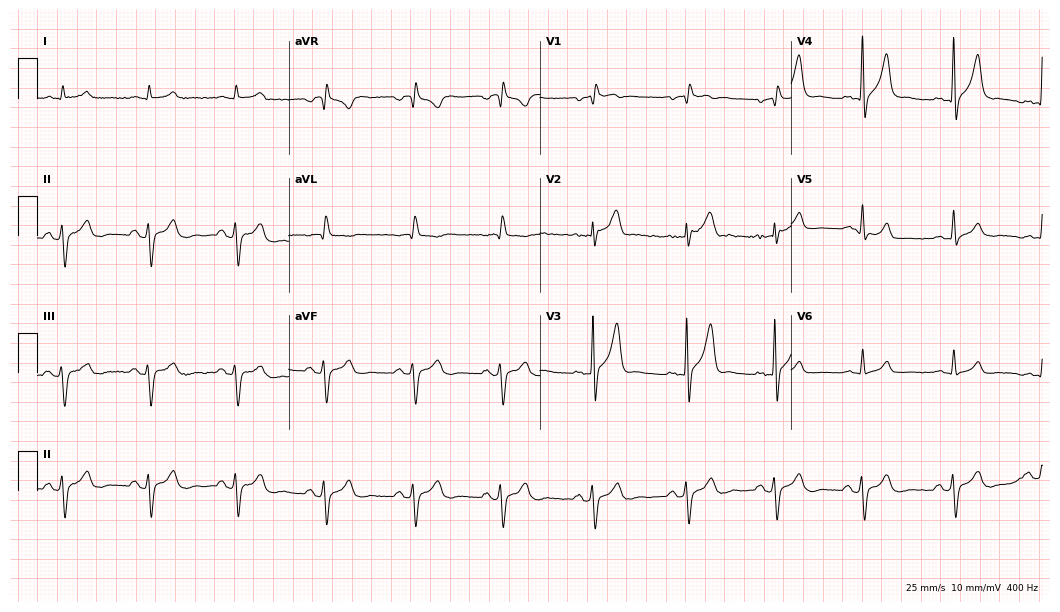
Standard 12-lead ECG recorded from a 42-year-old male (10.2-second recording at 400 Hz). None of these six findings is recorded: first-degree AV block, right bundle branch block (RBBB), left bundle branch block (LBBB), sinus bradycardia, atrial fibrillation (AF), sinus tachycardia. Only these six findings were labelled.